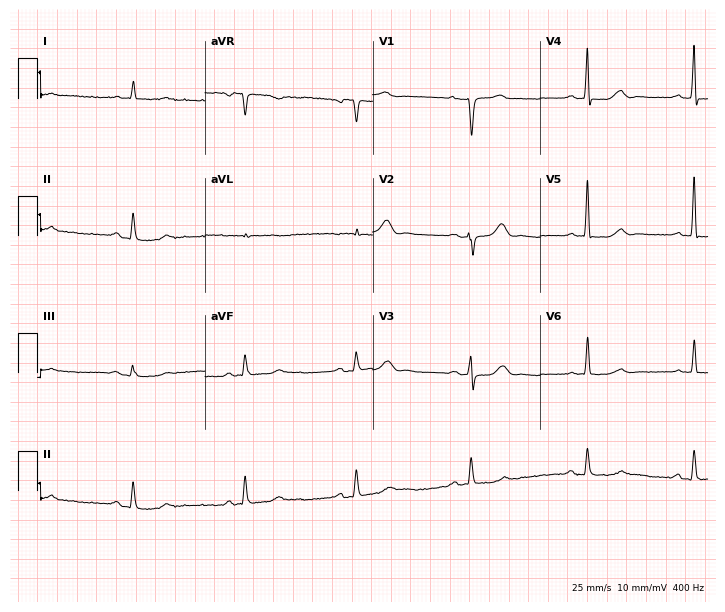
Electrocardiogram (6.8-second recording at 400 Hz), an 81-year-old female patient. Of the six screened findings (first-degree AV block, right bundle branch block (RBBB), left bundle branch block (LBBB), sinus bradycardia, atrial fibrillation (AF), sinus tachycardia), none is recorded.